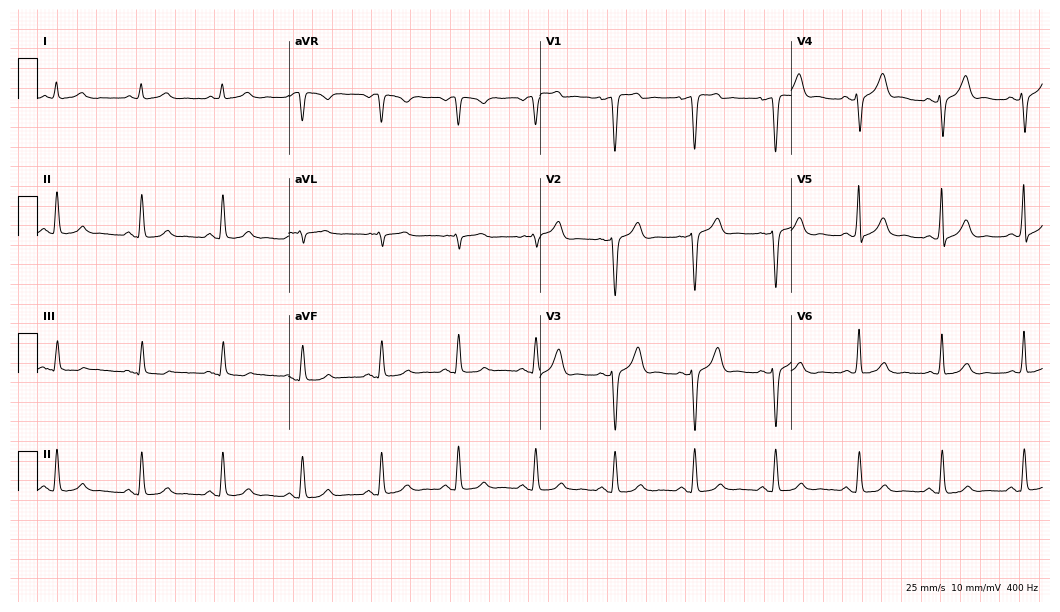
Resting 12-lead electrocardiogram (10.2-second recording at 400 Hz). Patient: a male, 69 years old. Read as a normal ECG.